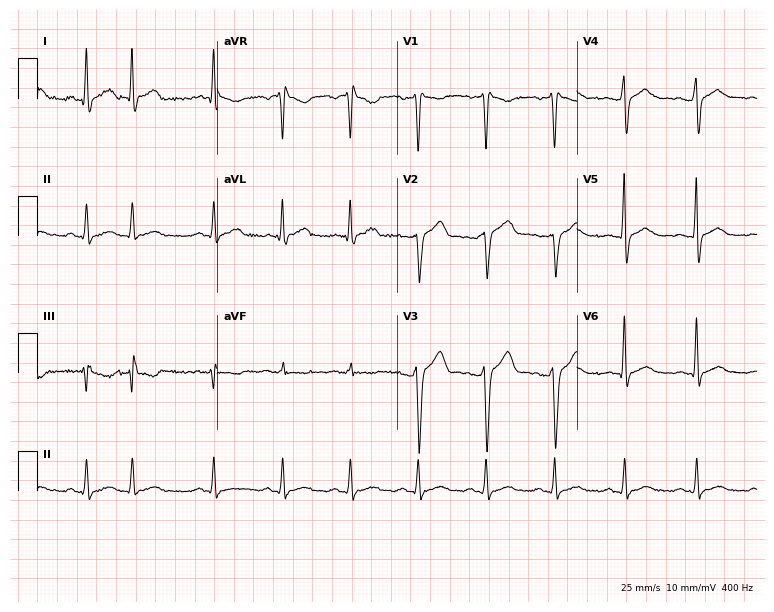
Standard 12-lead ECG recorded from a 41-year-old male (7.3-second recording at 400 Hz). None of these six findings is recorded: first-degree AV block, right bundle branch block, left bundle branch block, sinus bradycardia, atrial fibrillation, sinus tachycardia. Other findings, if any, are not listed.